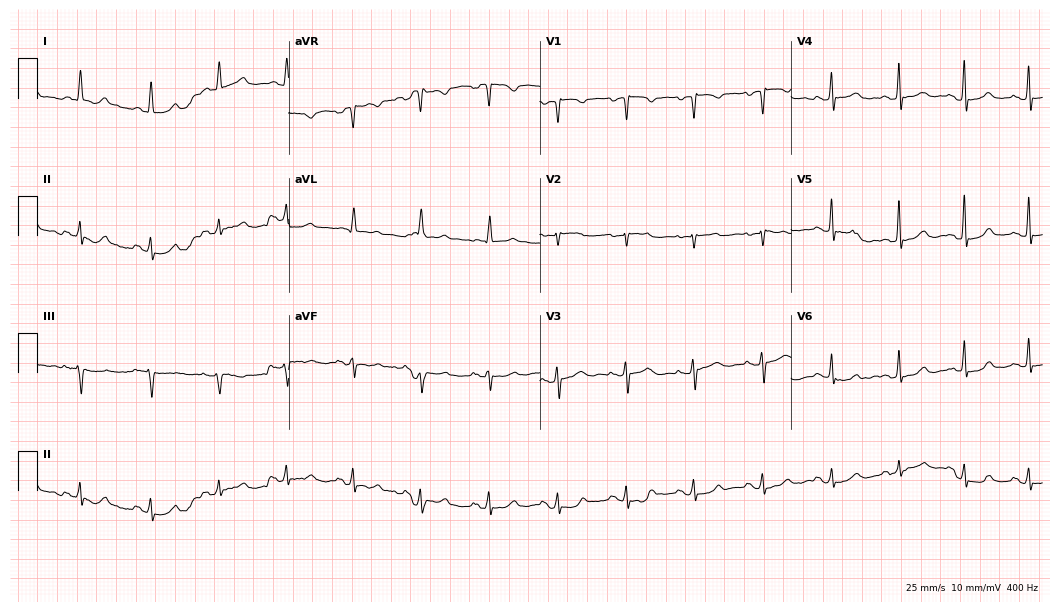
12-lead ECG from a female patient, 39 years old. Recorded interpretation: within normal limits.